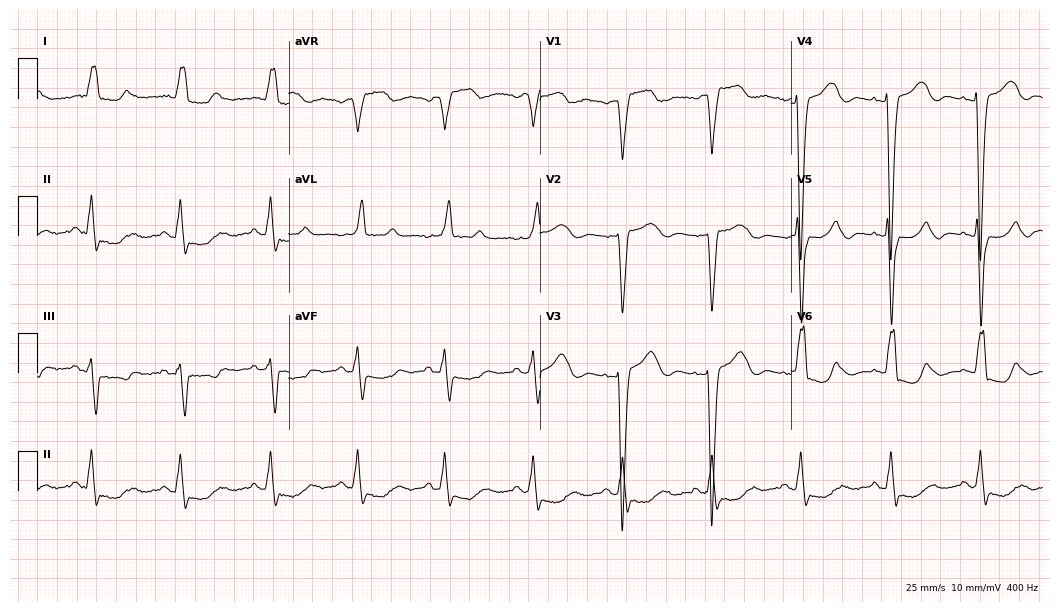
Standard 12-lead ECG recorded from a 61-year-old woman. The tracing shows left bundle branch block (LBBB).